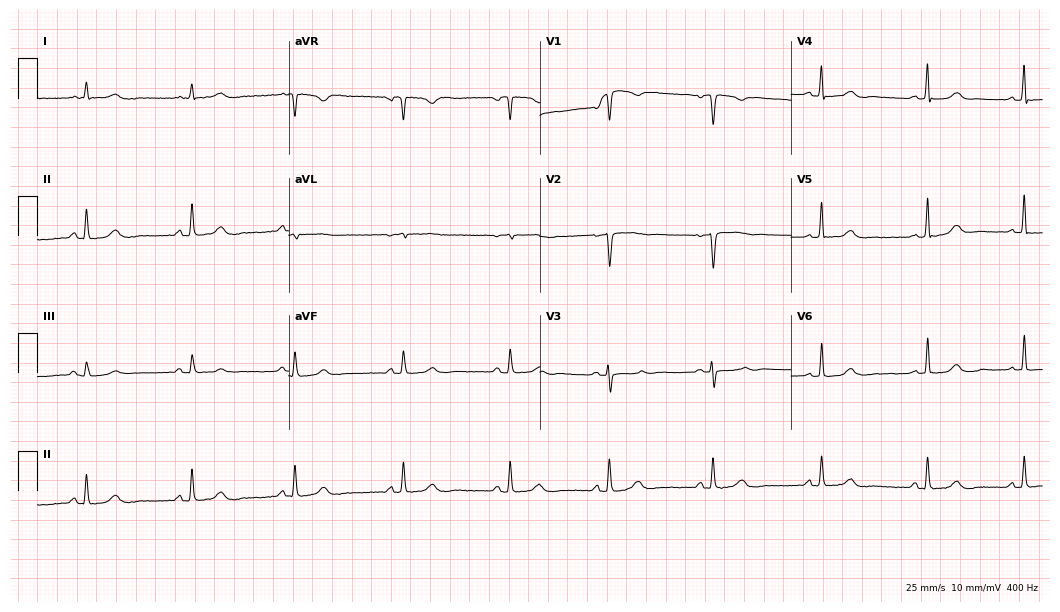
Resting 12-lead electrocardiogram. Patient: a woman, 36 years old. None of these six findings is recorded: first-degree AV block, right bundle branch block, left bundle branch block, sinus bradycardia, atrial fibrillation, sinus tachycardia.